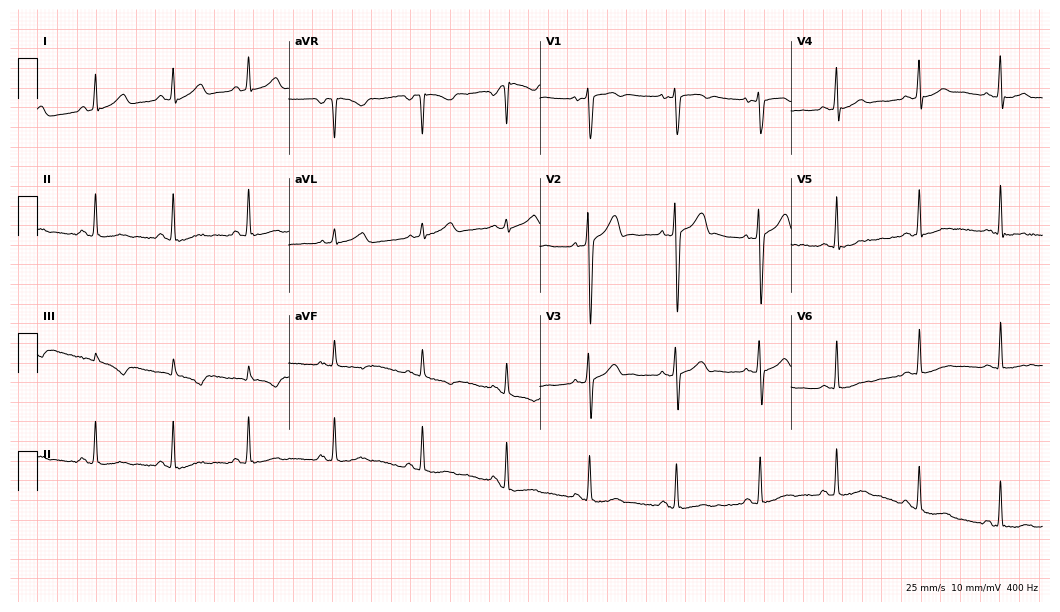
ECG (10.2-second recording at 400 Hz) — a man, 26 years old. Screened for six findings — first-degree AV block, right bundle branch block (RBBB), left bundle branch block (LBBB), sinus bradycardia, atrial fibrillation (AF), sinus tachycardia — none is recorded.